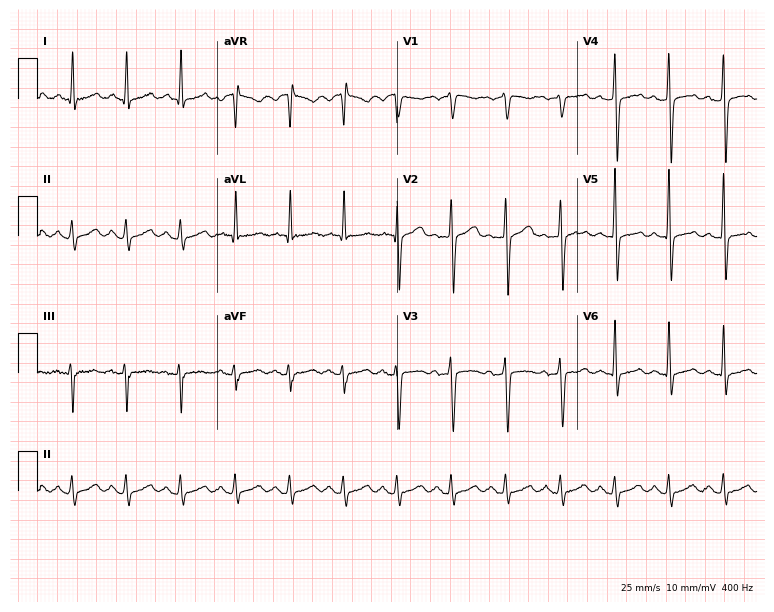
Resting 12-lead electrocardiogram (7.3-second recording at 400 Hz). Patient: a male, 66 years old. The tracing shows sinus tachycardia (a sinus rate of 100 beats per minute or more).